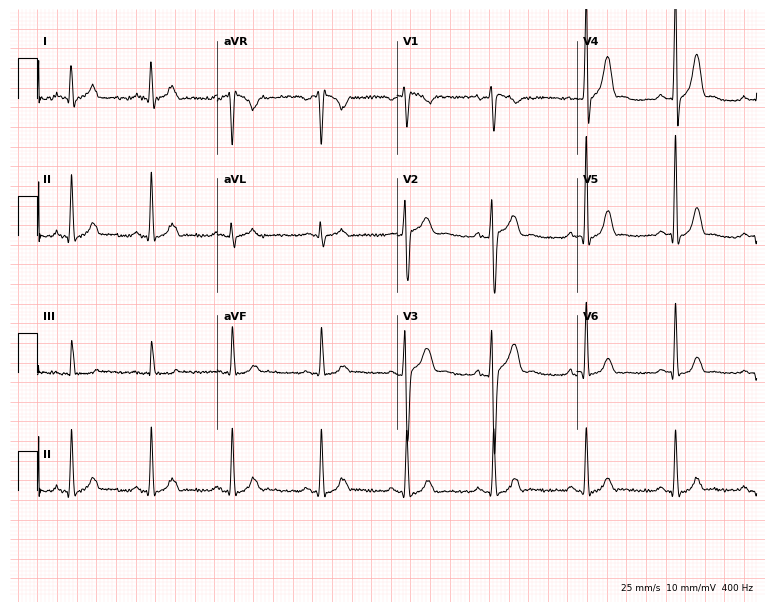
ECG (7.3-second recording at 400 Hz) — a 29-year-old man. Screened for six findings — first-degree AV block, right bundle branch block, left bundle branch block, sinus bradycardia, atrial fibrillation, sinus tachycardia — none is recorded. Only these six findings were labelled.